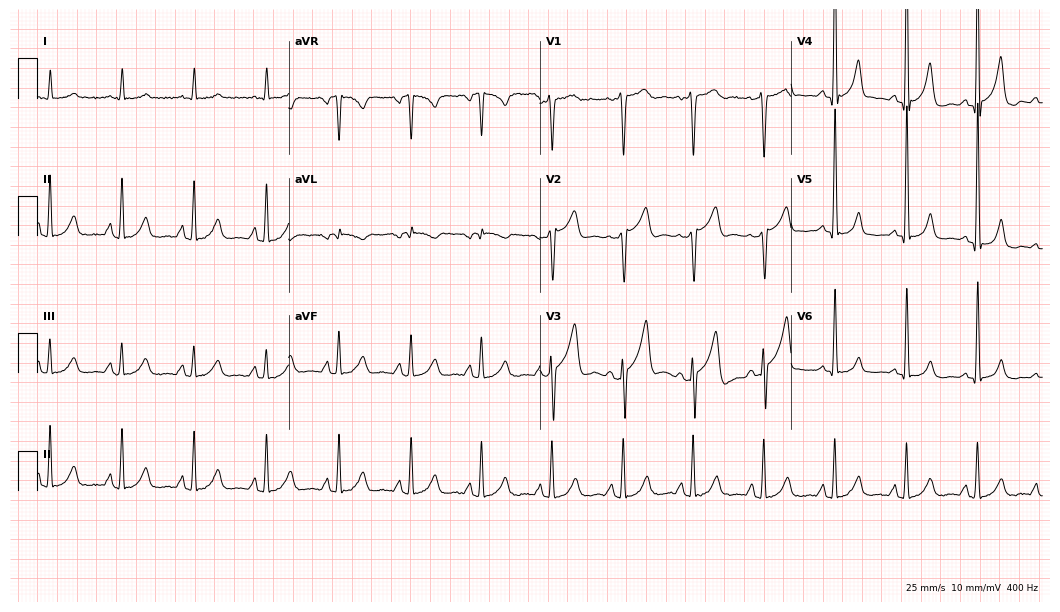
12-lead ECG from a male, 62 years old (10.2-second recording at 400 Hz). No first-degree AV block, right bundle branch block, left bundle branch block, sinus bradycardia, atrial fibrillation or sinus tachycardia recorded for this tracing. Only these six findings were labelled.